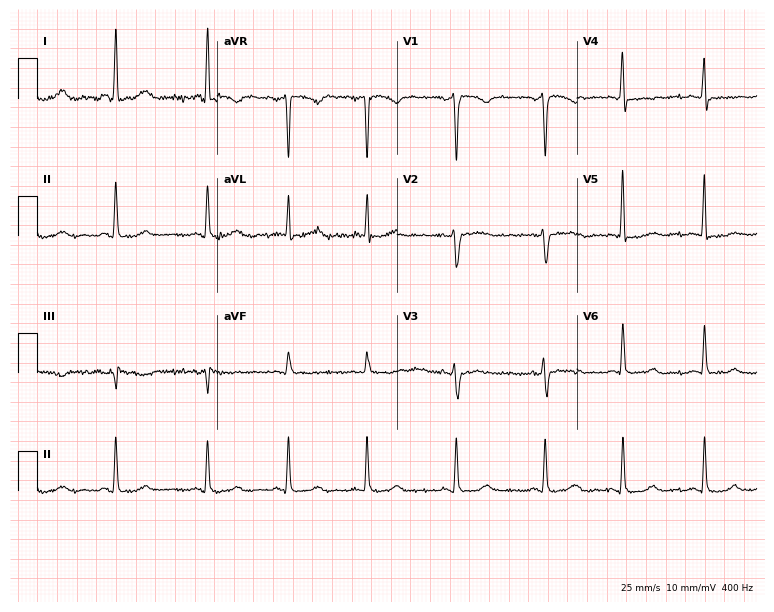
12-lead ECG from a 54-year-old woman. Recorded interpretation: within normal limits.